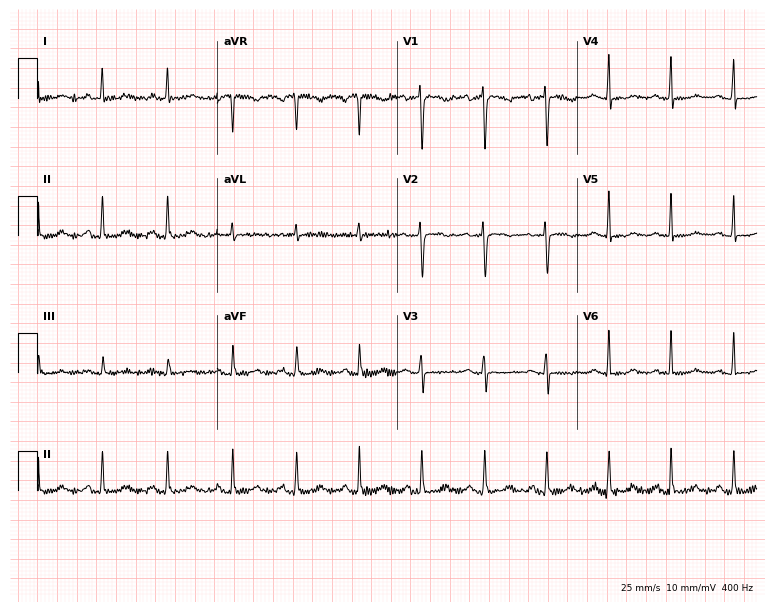
12-lead ECG from a 41-year-old woman (7.3-second recording at 400 Hz). Recorded interpretation: within normal limits.